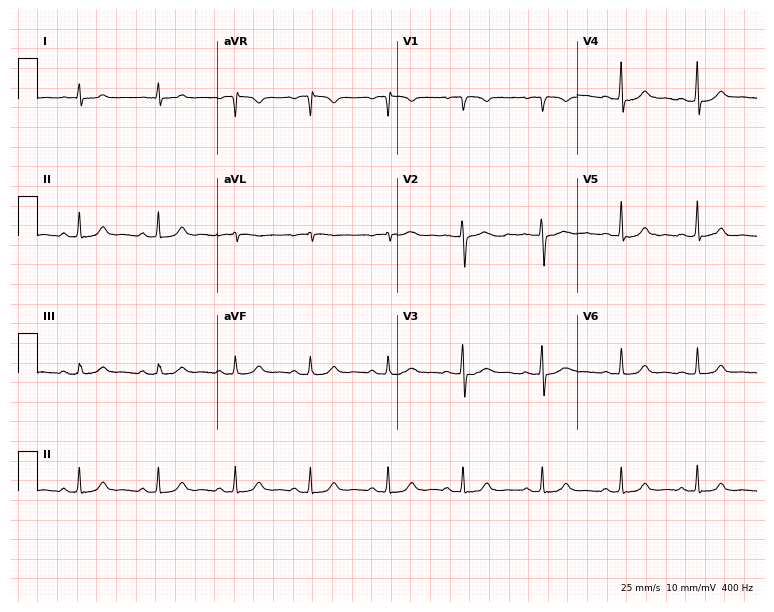
Electrocardiogram, a 19-year-old female patient. Overall reading on record: normal ECG.